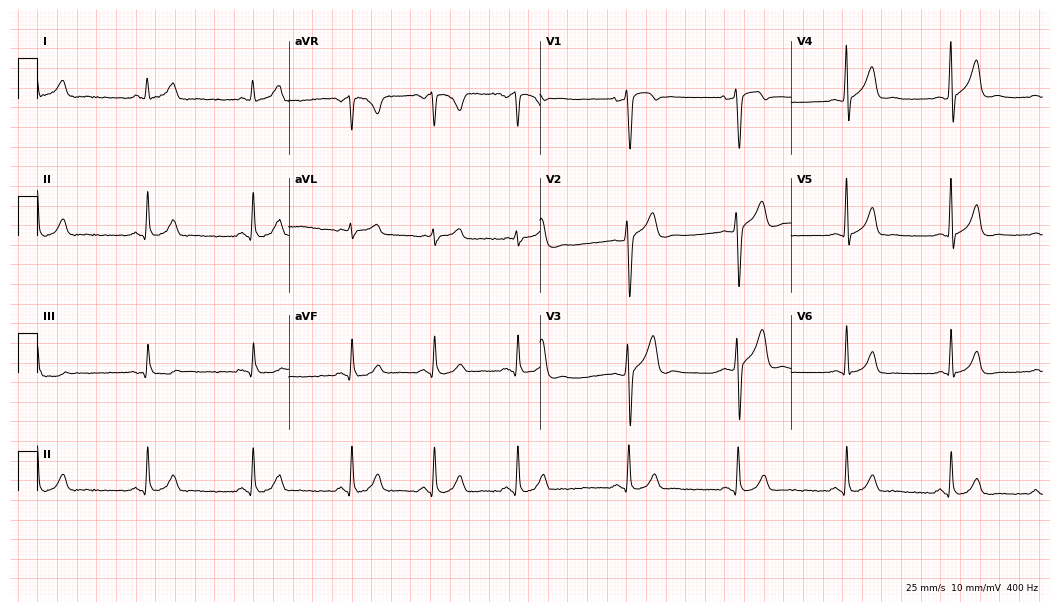
Standard 12-lead ECG recorded from a 33-year-old male (10.2-second recording at 400 Hz). None of these six findings is recorded: first-degree AV block, right bundle branch block (RBBB), left bundle branch block (LBBB), sinus bradycardia, atrial fibrillation (AF), sinus tachycardia.